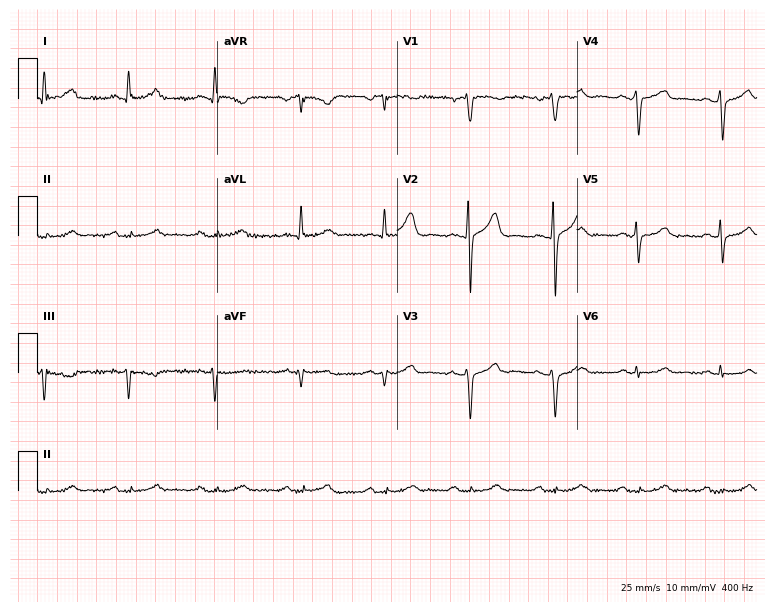
Electrocardiogram (7.3-second recording at 400 Hz), a 63-year-old male. Of the six screened findings (first-degree AV block, right bundle branch block, left bundle branch block, sinus bradycardia, atrial fibrillation, sinus tachycardia), none is recorded. Only these six findings were labelled.